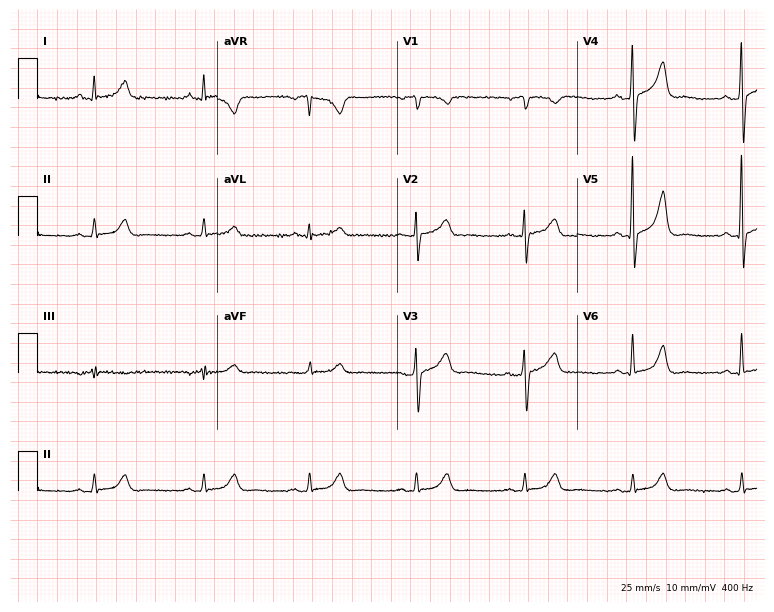
Standard 12-lead ECG recorded from a 54-year-old male (7.3-second recording at 400 Hz). Read as a normal ECG.